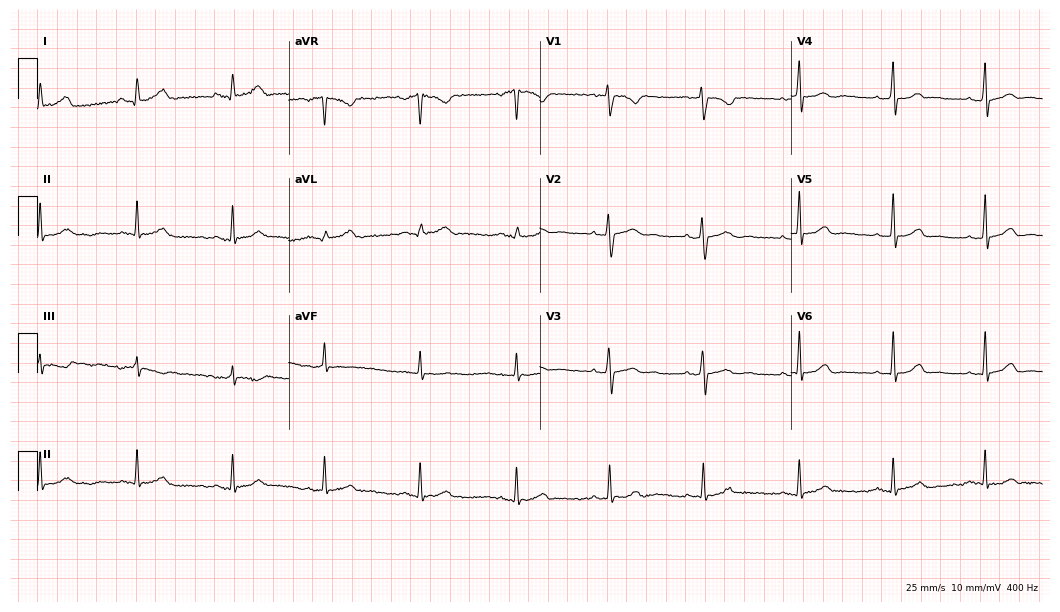
12-lead ECG from a female, 24 years old (10.2-second recording at 400 Hz). Recorded interpretation: within normal limits.